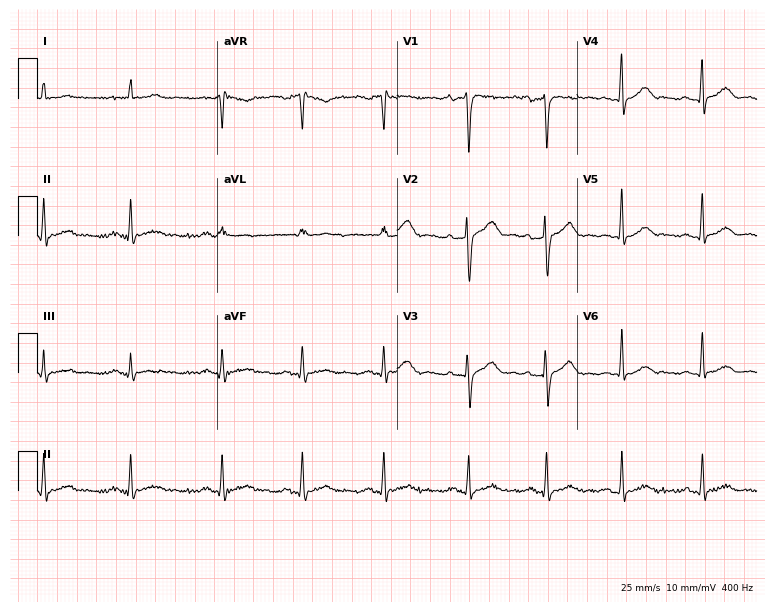
12-lead ECG from a female, 43 years old. Recorded interpretation: within normal limits.